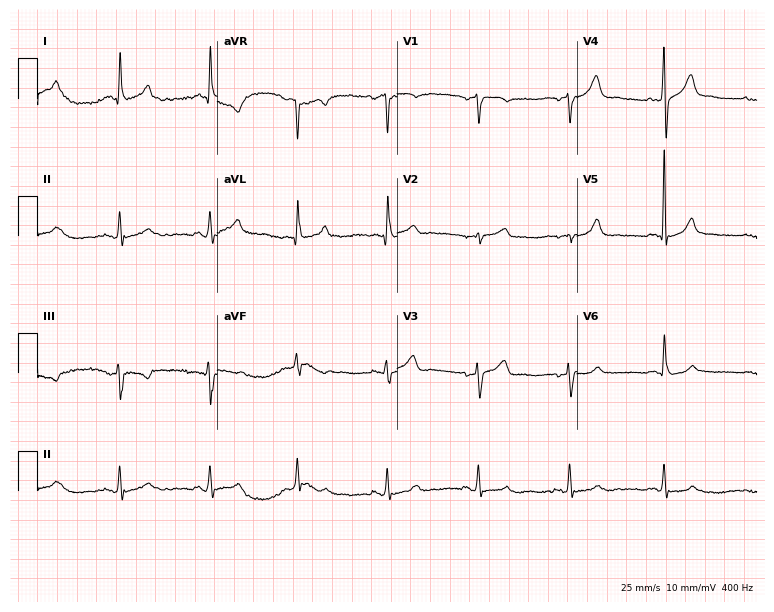
12-lead ECG from an 82-year-old female patient. Recorded interpretation: within normal limits.